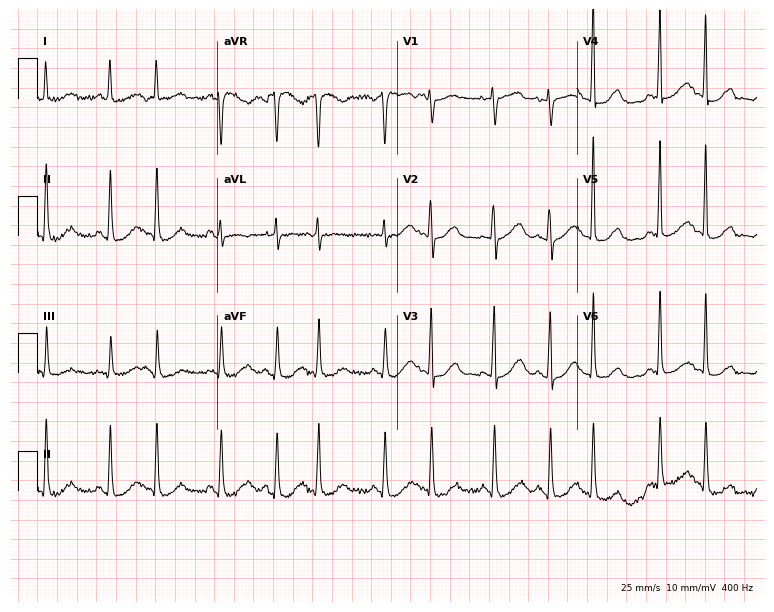
12-lead ECG from an 80-year-old woman. No first-degree AV block, right bundle branch block (RBBB), left bundle branch block (LBBB), sinus bradycardia, atrial fibrillation (AF) or sinus tachycardia recorded for this tracing.